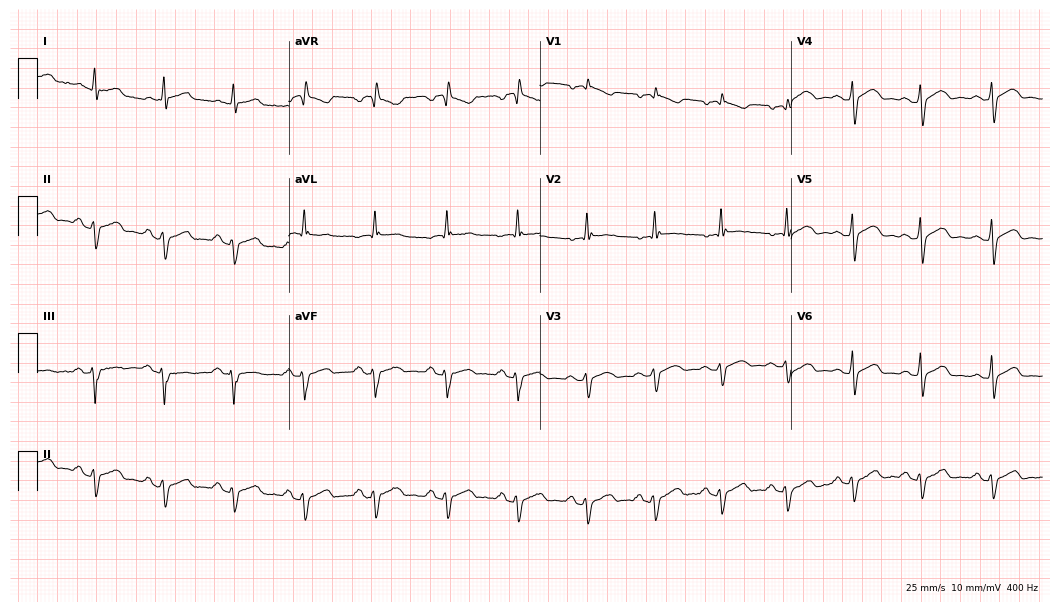
Electrocardiogram (10.2-second recording at 400 Hz), a male patient, 37 years old. Of the six screened findings (first-degree AV block, right bundle branch block (RBBB), left bundle branch block (LBBB), sinus bradycardia, atrial fibrillation (AF), sinus tachycardia), none is recorded.